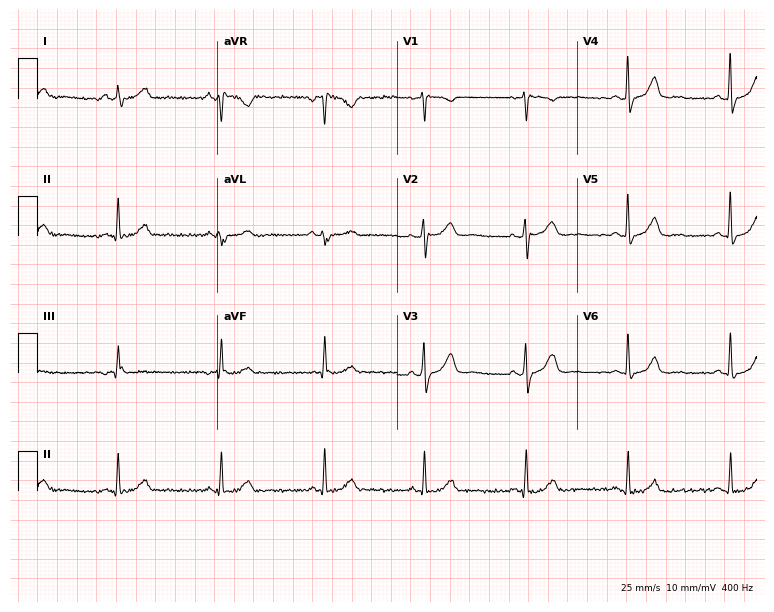
Resting 12-lead electrocardiogram. Patient: a 55-year-old man. Read as a normal ECG.